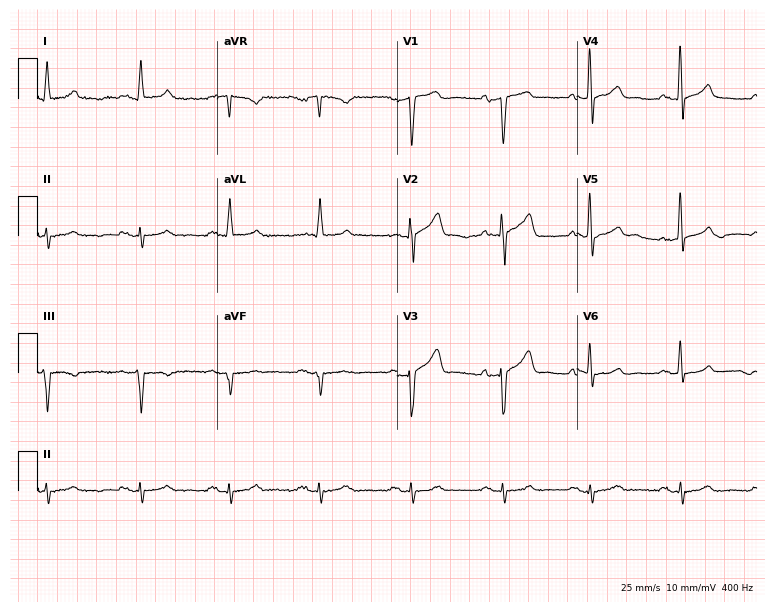
12-lead ECG (7.3-second recording at 400 Hz) from a 64-year-old male. Screened for six findings — first-degree AV block, right bundle branch block, left bundle branch block, sinus bradycardia, atrial fibrillation, sinus tachycardia — none is recorded.